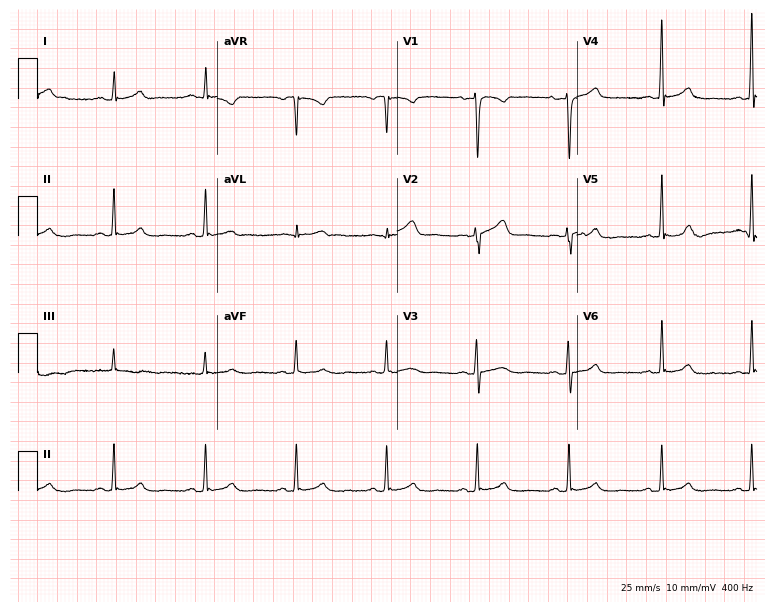
12-lead ECG from a female patient, 39 years old (7.3-second recording at 400 Hz). Recorded interpretation: within normal limits.